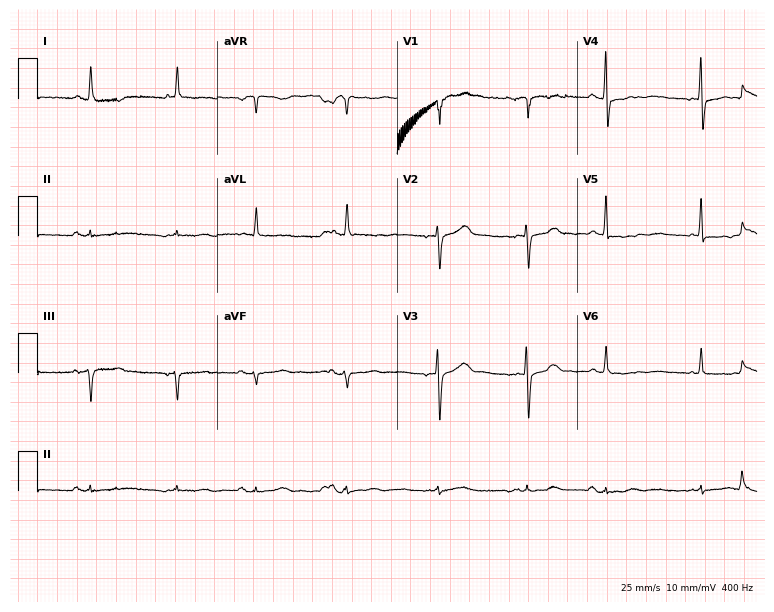
Electrocardiogram, an 83-year-old male. Of the six screened findings (first-degree AV block, right bundle branch block (RBBB), left bundle branch block (LBBB), sinus bradycardia, atrial fibrillation (AF), sinus tachycardia), none is recorded. Only these six findings were labelled.